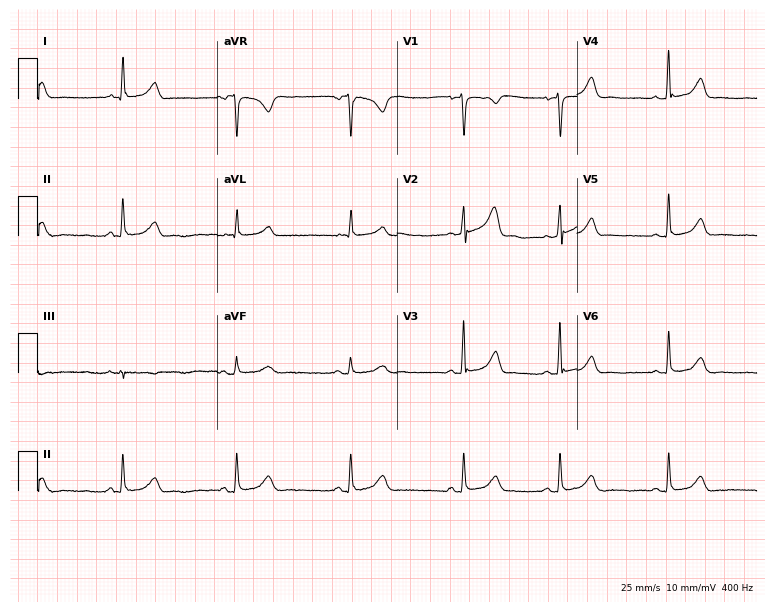
12-lead ECG (7.3-second recording at 400 Hz) from a female, 45 years old. Labelled as a normal ECG.